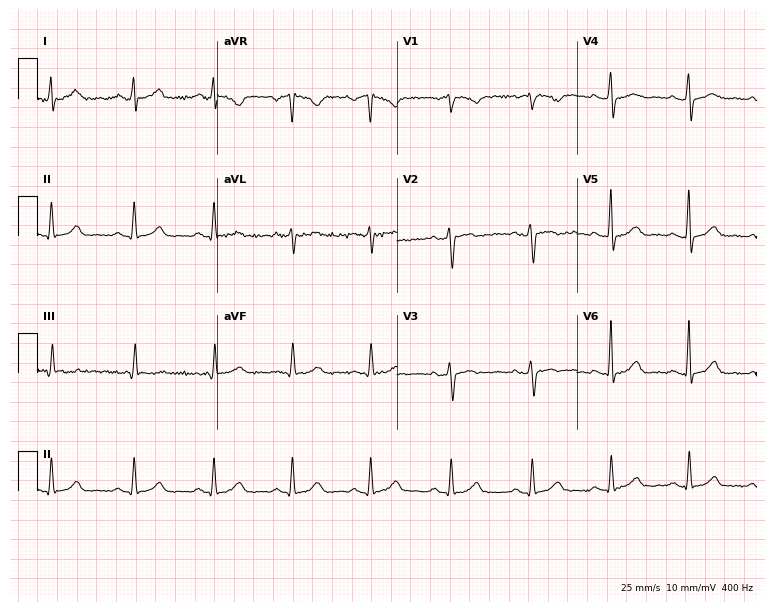
ECG (7.3-second recording at 400 Hz) — a female patient, 37 years old. Screened for six findings — first-degree AV block, right bundle branch block, left bundle branch block, sinus bradycardia, atrial fibrillation, sinus tachycardia — none is recorded.